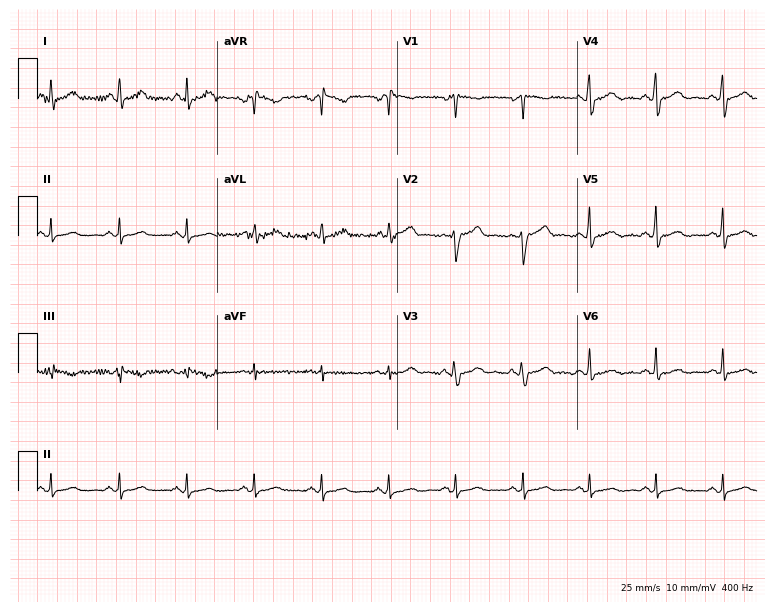
12-lead ECG from a man, 60 years old. Labelled as a normal ECG.